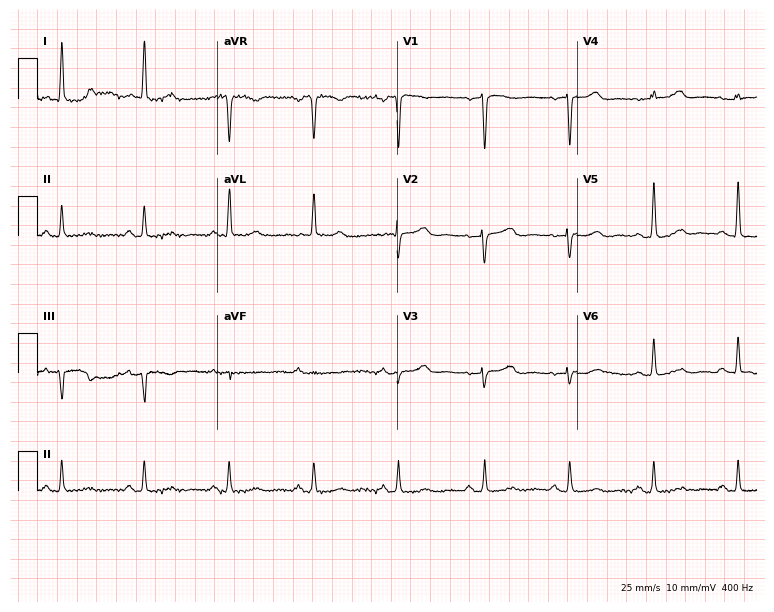
ECG (7.3-second recording at 400 Hz) — a woman, 61 years old. Screened for six findings — first-degree AV block, right bundle branch block (RBBB), left bundle branch block (LBBB), sinus bradycardia, atrial fibrillation (AF), sinus tachycardia — none is recorded.